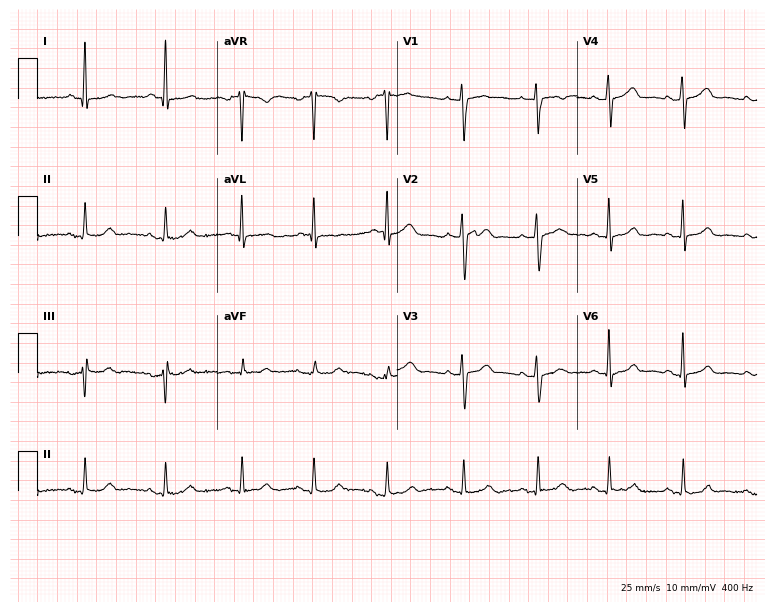
Electrocardiogram (7.3-second recording at 400 Hz), a 37-year-old woman. Of the six screened findings (first-degree AV block, right bundle branch block, left bundle branch block, sinus bradycardia, atrial fibrillation, sinus tachycardia), none is recorded. Only these six findings were labelled.